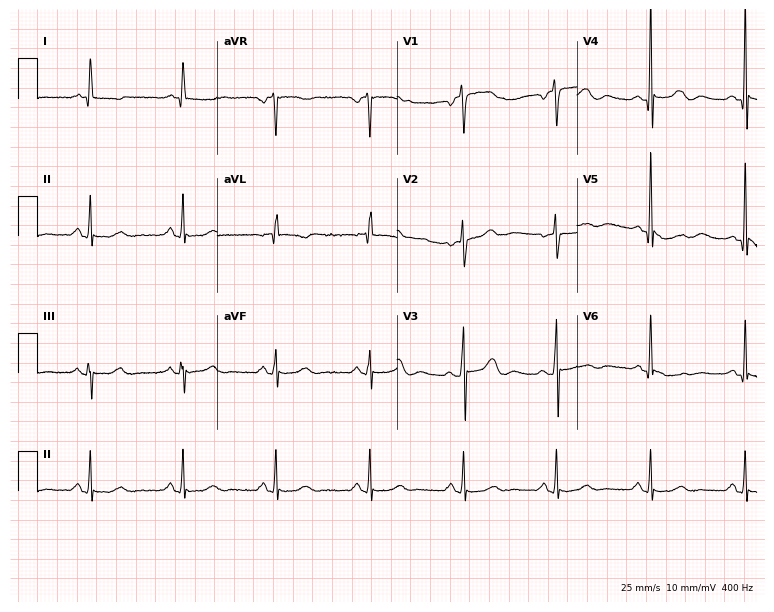
ECG (7.3-second recording at 400 Hz) — a female, 69 years old. Labelled as a normal ECG.